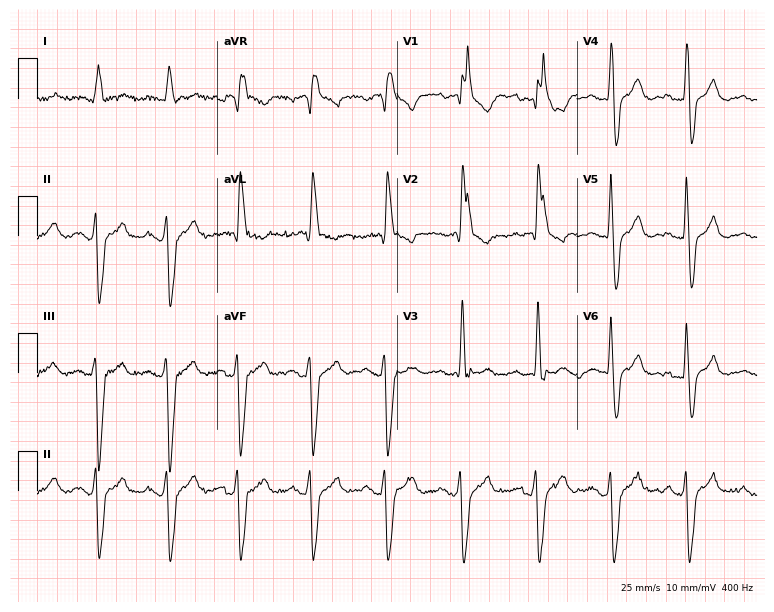
ECG (7.3-second recording at 400 Hz) — a male patient, 79 years old. Findings include right bundle branch block (RBBB).